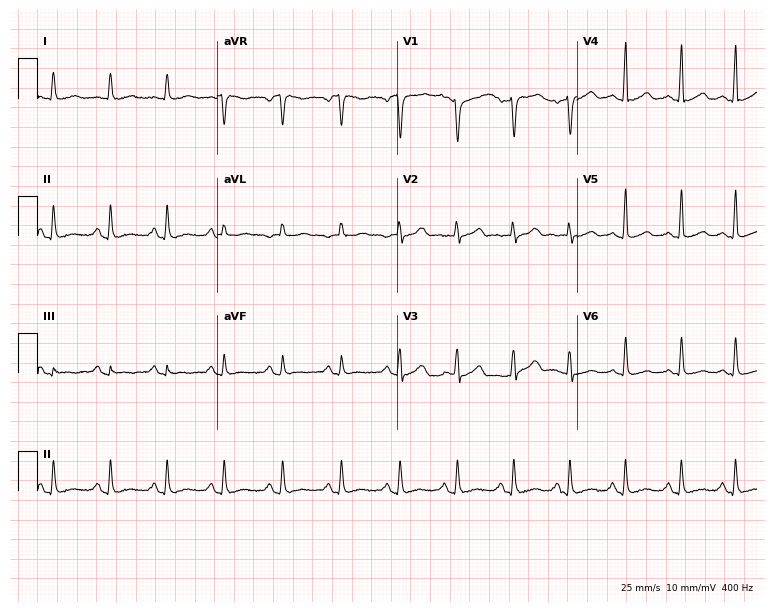
12-lead ECG from a 36-year-old female (7.3-second recording at 400 Hz). No first-degree AV block, right bundle branch block (RBBB), left bundle branch block (LBBB), sinus bradycardia, atrial fibrillation (AF) or sinus tachycardia recorded for this tracing.